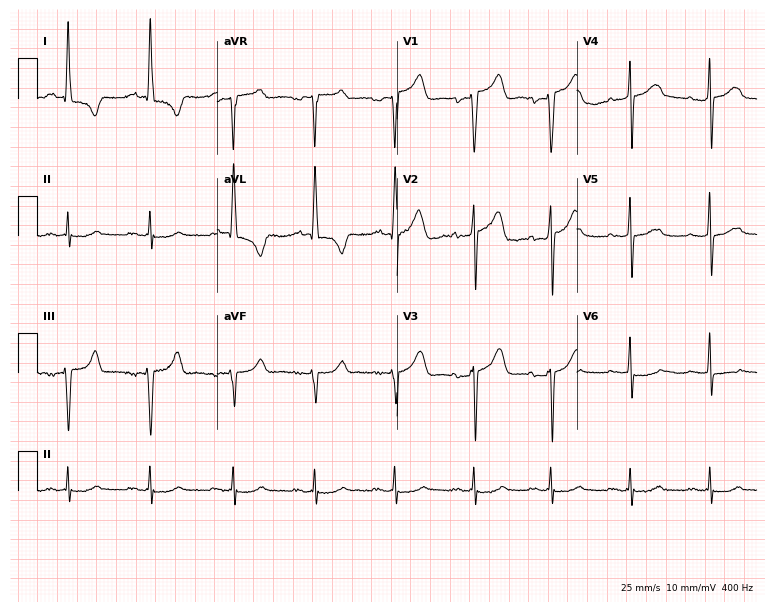
Electrocardiogram (7.3-second recording at 400 Hz), a male, 47 years old. Of the six screened findings (first-degree AV block, right bundle branch block, left bundle branch block, sinus bradycardia, atrial fibrillation, sinus tachycardia), none is recorded. Findings outside these six are not listed.